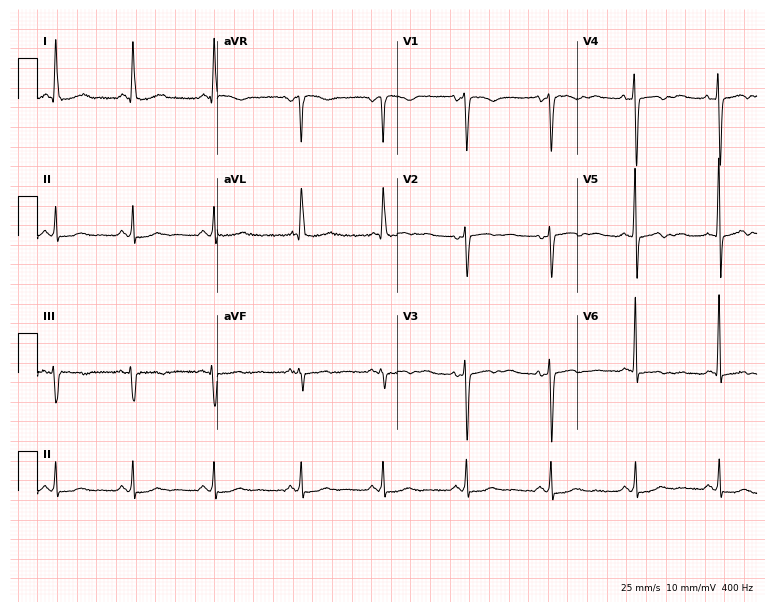
ECG (7.3-second recording at 400 Hz) — a 47-year-old female. Screened for six findings — first-degree AV block, right bundle branch block, left bundle branch block, sinus bradycardia, atrial fibrillation, sinus tachycardia — none is recorded. Other findings, if any, are not listed.